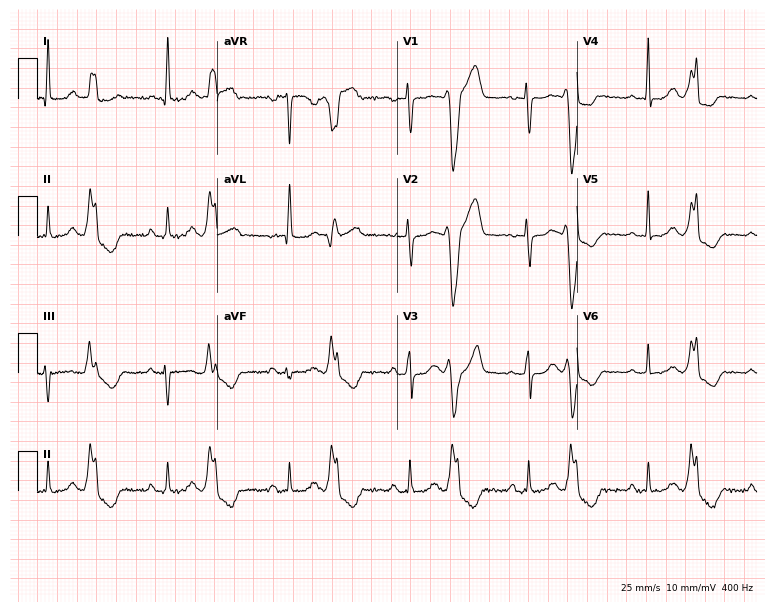
Electrocardiogram, a woman, 64 years old. Of the six screened findings (first-degree AV block, right bundle branch block, left bundle branch block, sinus bradycardia, atrial fibrillation, sinus tachycardia), none is recorded. Findings outside these six are not listed.